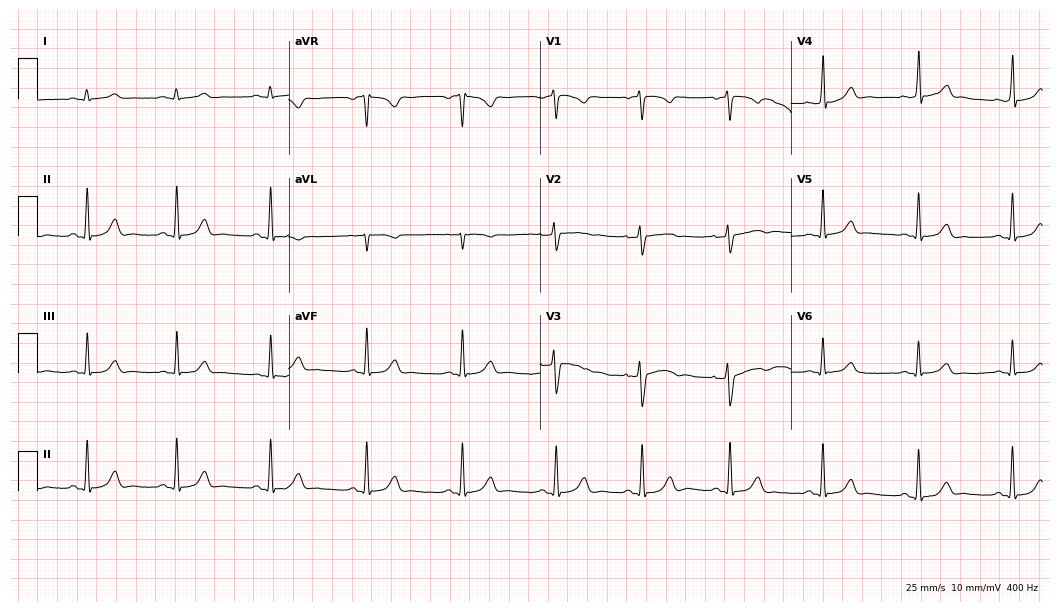
ECG (10.2-second recording at 400 Hz) — a 24-year-old female patient. Screened for six findings — first-degree AV block, right bundle branch block, left bundle branch block, sinus bradycardia, atrial fibrillation, sinus tachycardia — none is recorded. Findings outside these six are not listed.